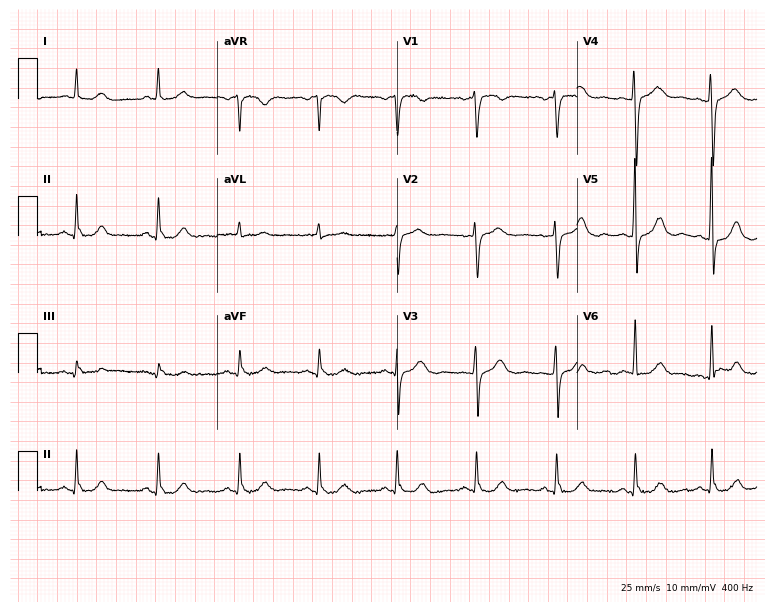
ECG (7.3-second recording at 400 Hz) — a 61-year-old woman. Labelled as a normal ECG.